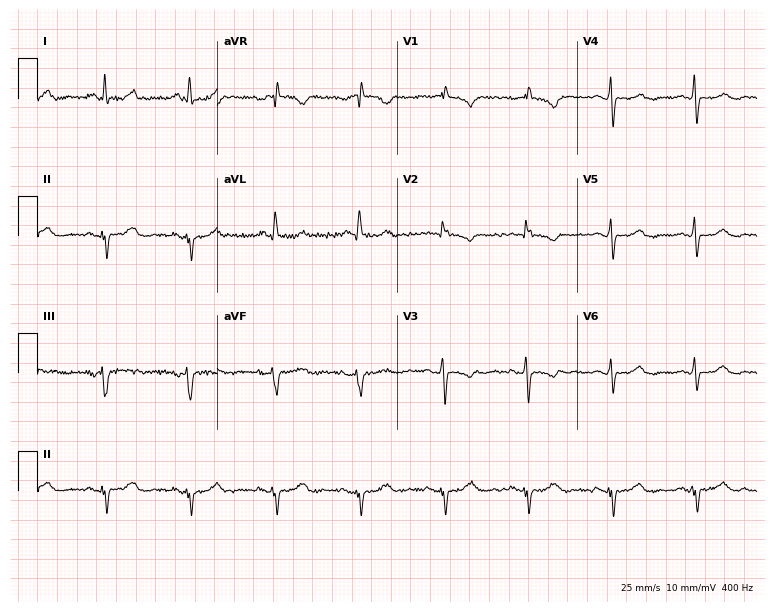
Electrocardiogram (7.3-second recording at 400 Hz), a woman, 66 years old. Of the six screened findings (first-degree AV block, right bundle branch block, left bundle branch block, sinus bradycardia, atrial fibrillation, sinus tachycardia), none is recorded. Other findings, if any, are not listed.